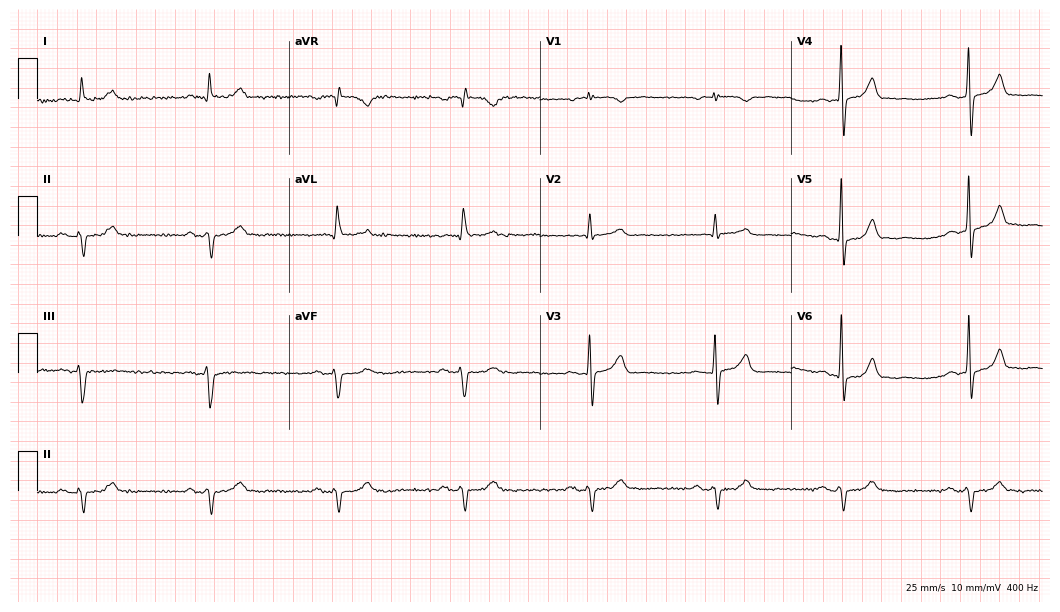
ECG — a male patient, 79 years old. Findings include sinus bradycardia (a sinus rate of 50 beats per minute or less).